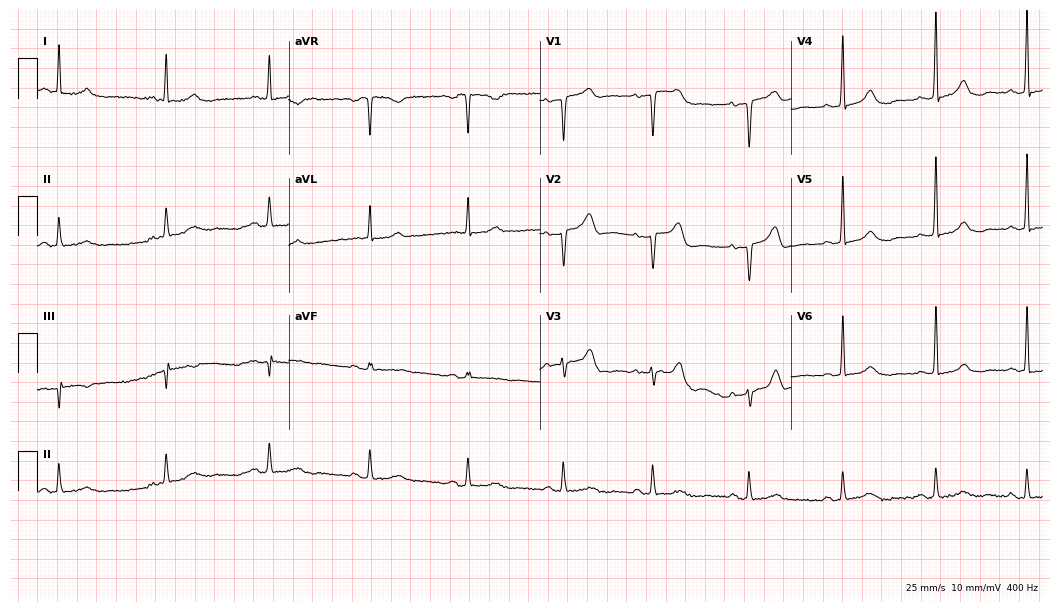
Resting 12-lead electrocardiogram (10.2-second recording at 400 Hz). Patient: an 83-year-old female. Read as a normal ECG.